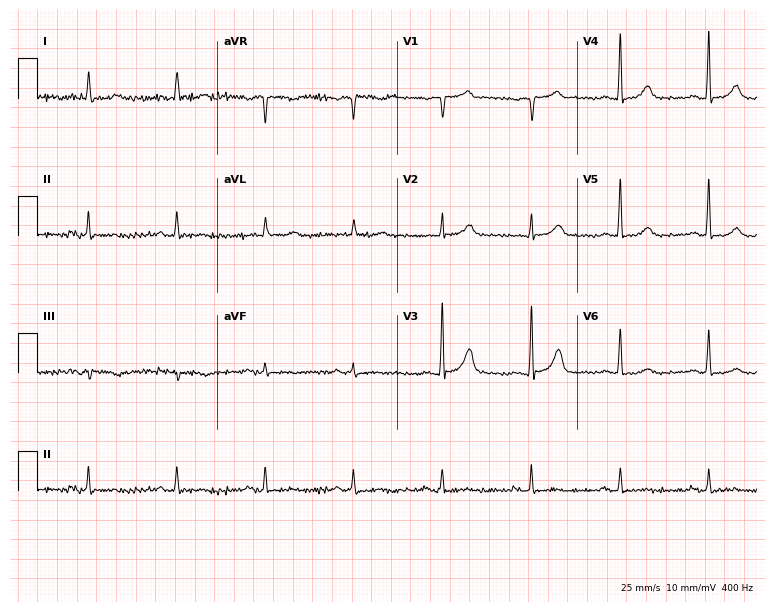
12-lead ECG (7.3-second recording at 400 Hz) from a male patient, 79 years old. Labelled as a normal ECG.